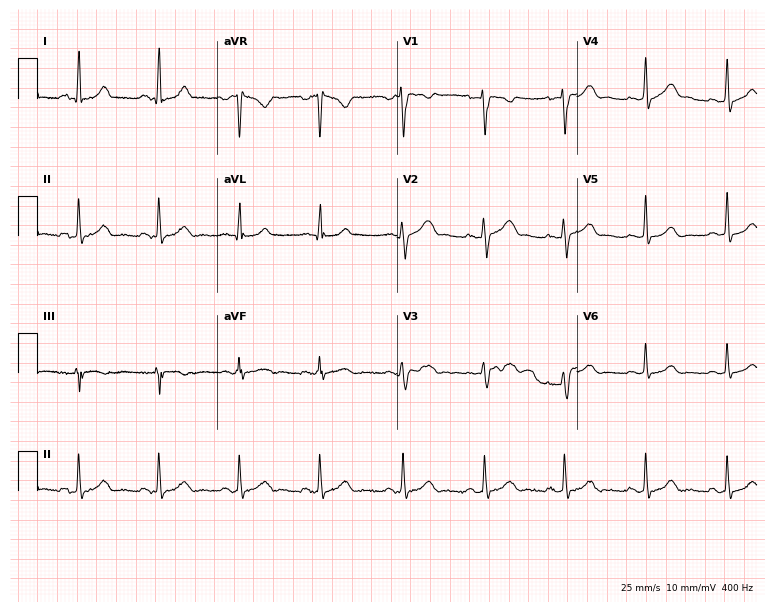
12-lead ECG from a female patient, 34 years old. Labelled as a normal ECG.